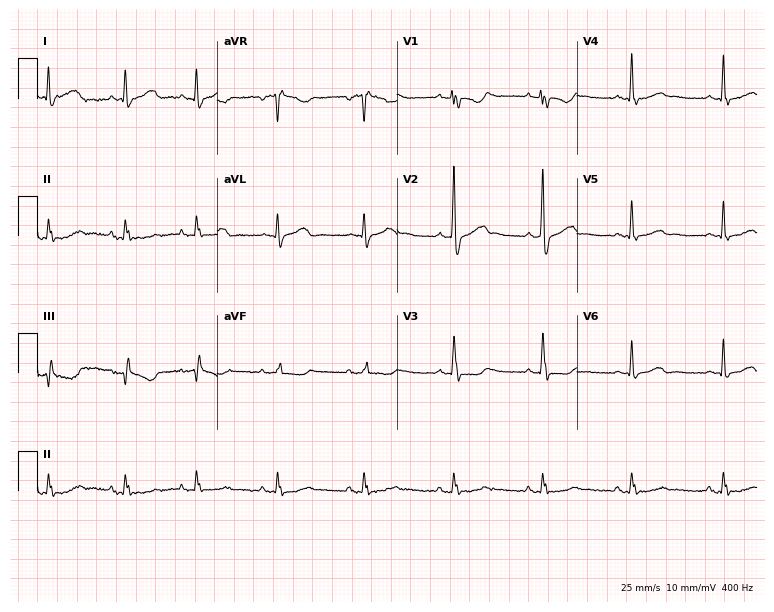
Resting 12-lead electrocardiogram (7.3-second recording at 400 Hz). Patient: a woman, 23 years old. None of these six findings is recorded: first-degree AV block, right bundle branch block (RBBB), left bundle branch block (LBBB), sinus bradycardia, atrial fibrillation (AF), sinus tachycardia. Findings outside these six are not listed.